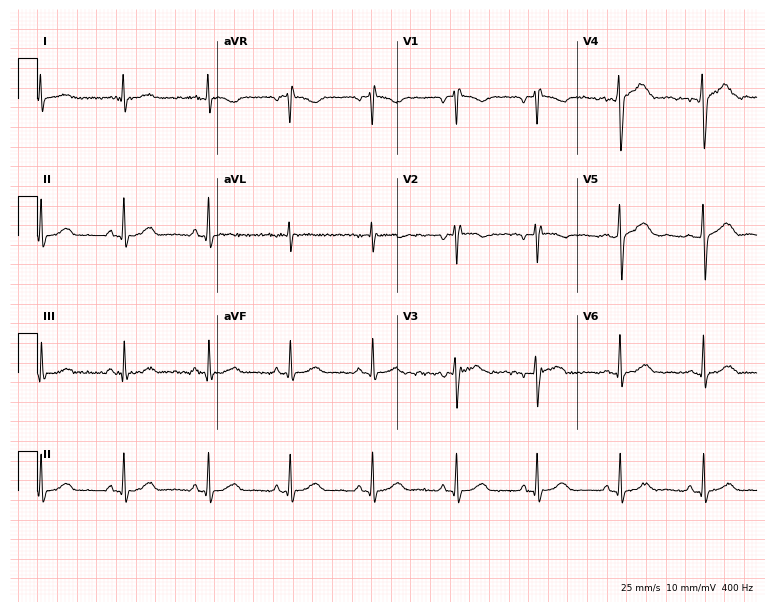
Electrocardiogram, a 35-year-old female patient. Of the six screened findings (first-degree AV block, right bundle branch block (RBBB), left bundle branch block (LBBB), sinus bradycardia, atrial fibrillation (AF), sinus tachycardia), none is recorded. Only these six findings were labelled.